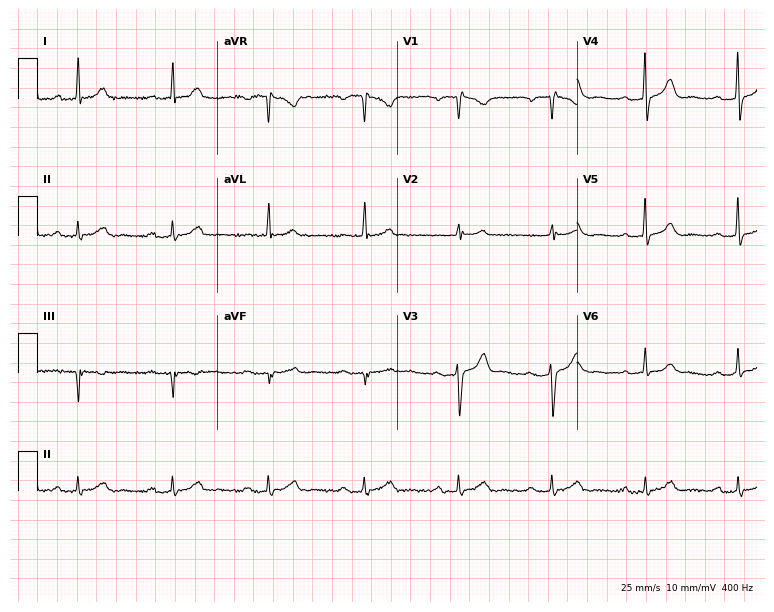
12-lead ECG from a male, 70 years old (7.3-second recording at 400 Hz). No first-degree AV block, right bundle branch block, left bundle branch block, sinus bradycardia, atrial fibrillation or sinus tachycardia recorded for this tracing. Only these six findings were labelled.